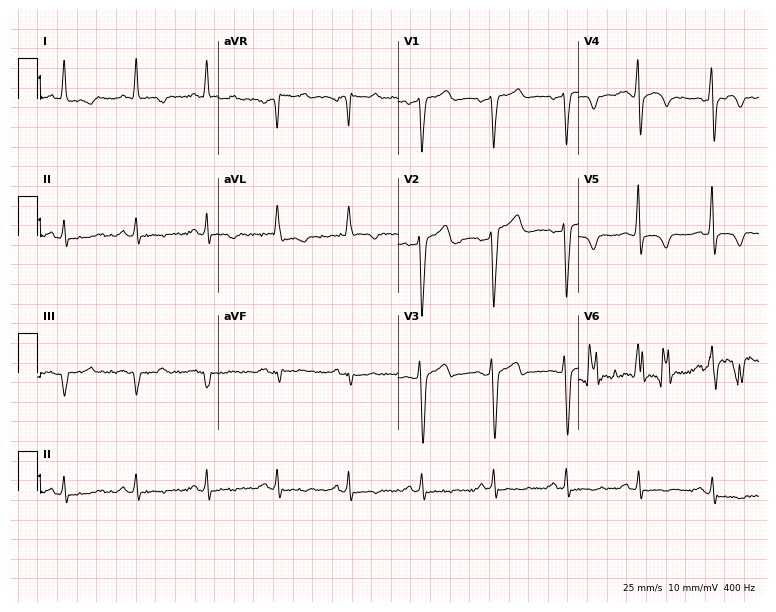
Resting 12-lead electrocardiogram (7.4-second recording at 400 Hz). Patient: a 56-year-old man. None of these six findings is recorded: first-degree AV block, right bundle branch block, left bundle branch block, sinus bradycardia, atrial fibrillation, sinus tachycardia. Findings outside these six are not listed.